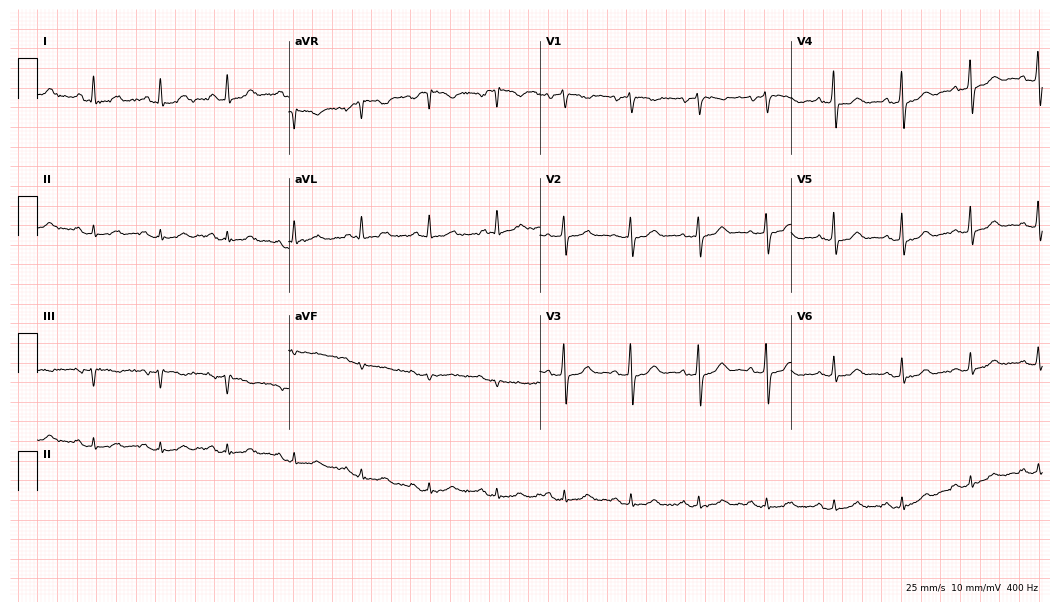
12-lead ECG from a woman, 72 years old (10.2-second recording at 400 Hz). No first-degree AV block, right bundle branch block (RBBB), left bundle branch block (LBBB), sinus bradycardia, atrial fibrillation (AF) or sinus tachycardia recorded for this tracing. Only these six findings were labelled.